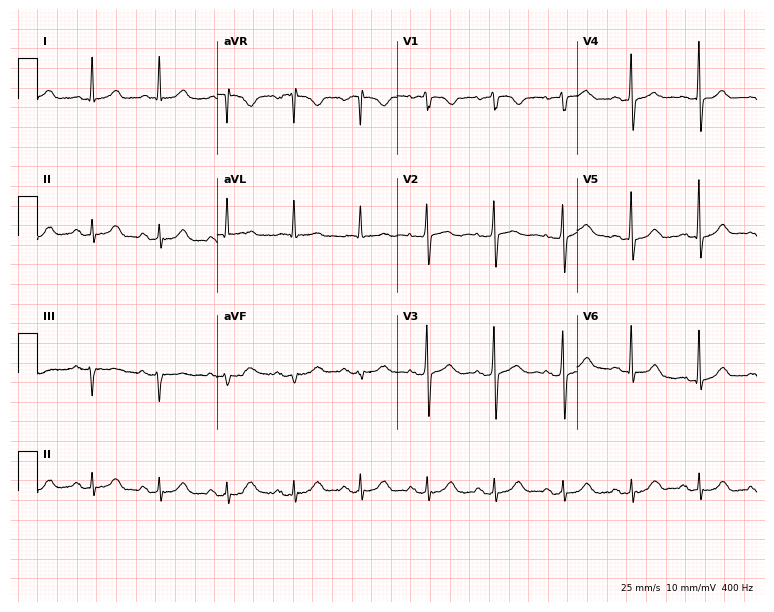
12-lead ECG from a woman, 80 years old. Recorded interpretation: within normal limits.